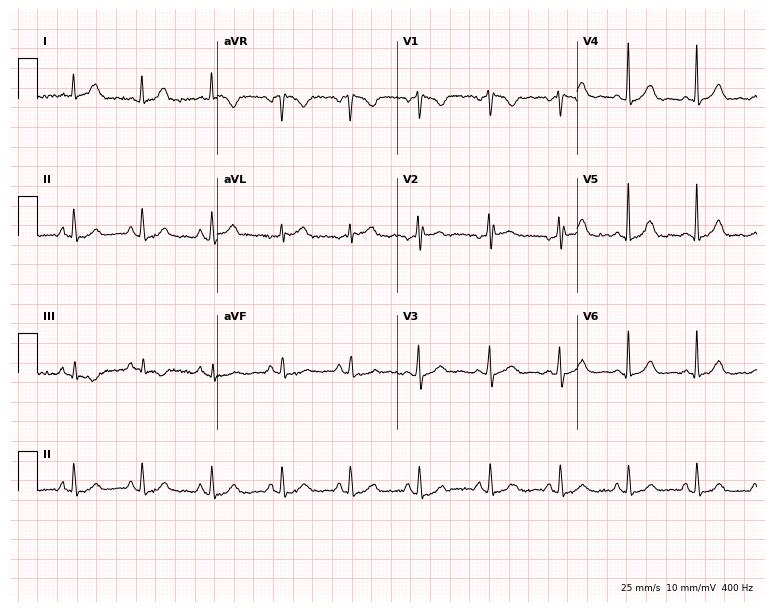
ECG (7.3-second recording at 400 Hz) — a female, 45 years old. Labelled as a normal ECG.